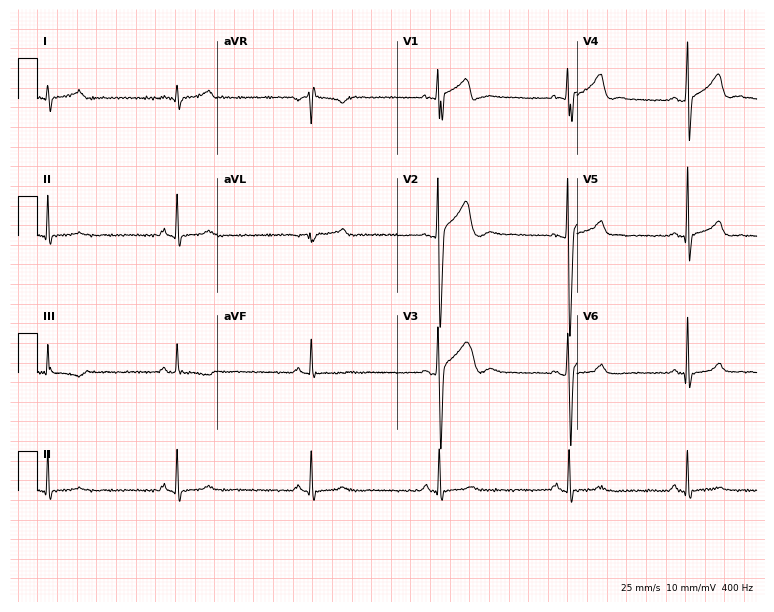
Resting 12-lead electrocardiogram (7.3-second recording at 400 Hz). Patient: a 20-year-old male. The tracing shows sinus bradycardia (a sinus rate of 50 beats per minute or less).